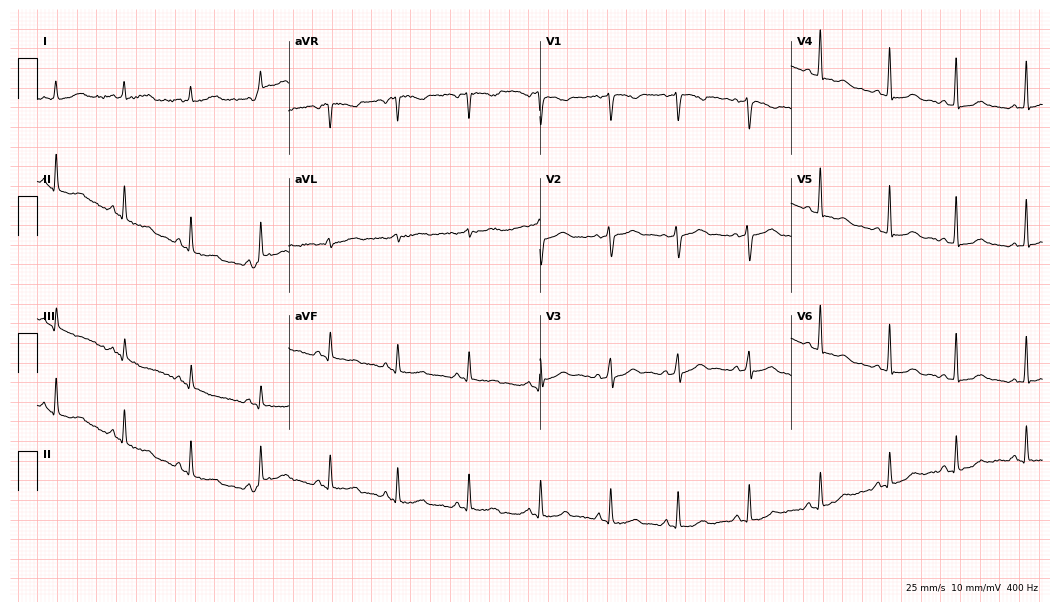
Resting 12-lead electrocardiogram. Patient: a woman, 38 years old. Read as a normal ECG.